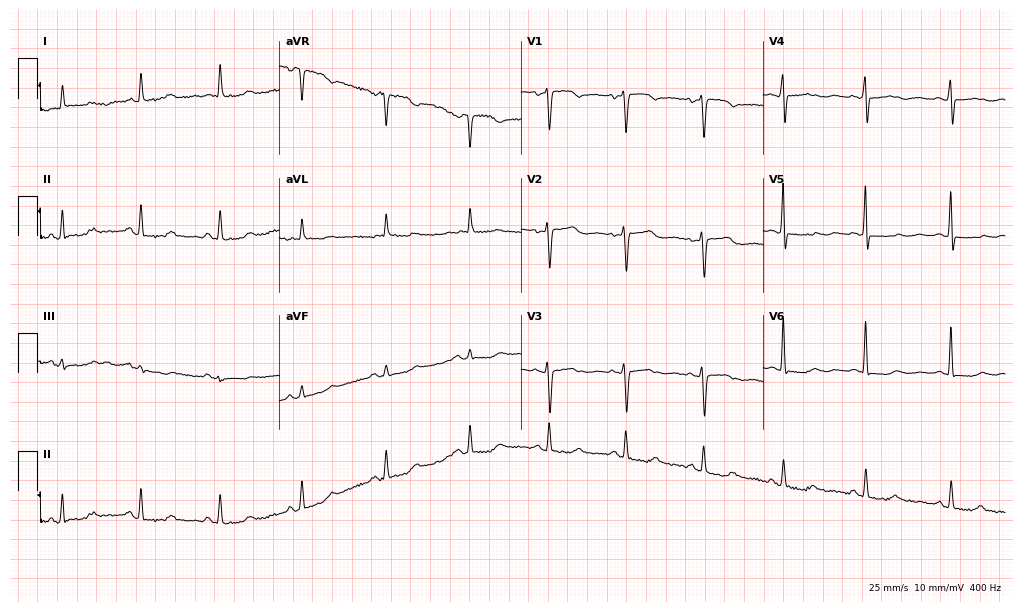
Resting 12-lead electrocardiogram. Patient: a female, 69 years old. None of these six findings is recorded: first-degree AV block, right bundle branch block (RBBB), left bundle branch block (LBBB), sinus bradycardia, atrial fibrillation (AF), sinus tachycardia. Other findings, if any, are not listed.